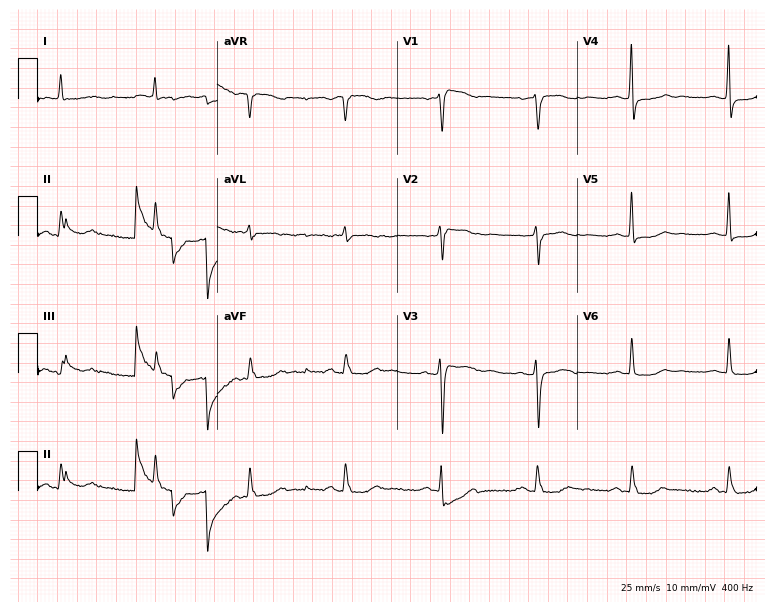
Electrocardiogram, a female patient, 80 years old. Of the six screened findings (first-degree AV block, right bundle branch block (RBBB), left bundle branch block (LBBB), sinus bradycardia, atrial fibrillation (AF), sinus tachycardia), none is recorded.